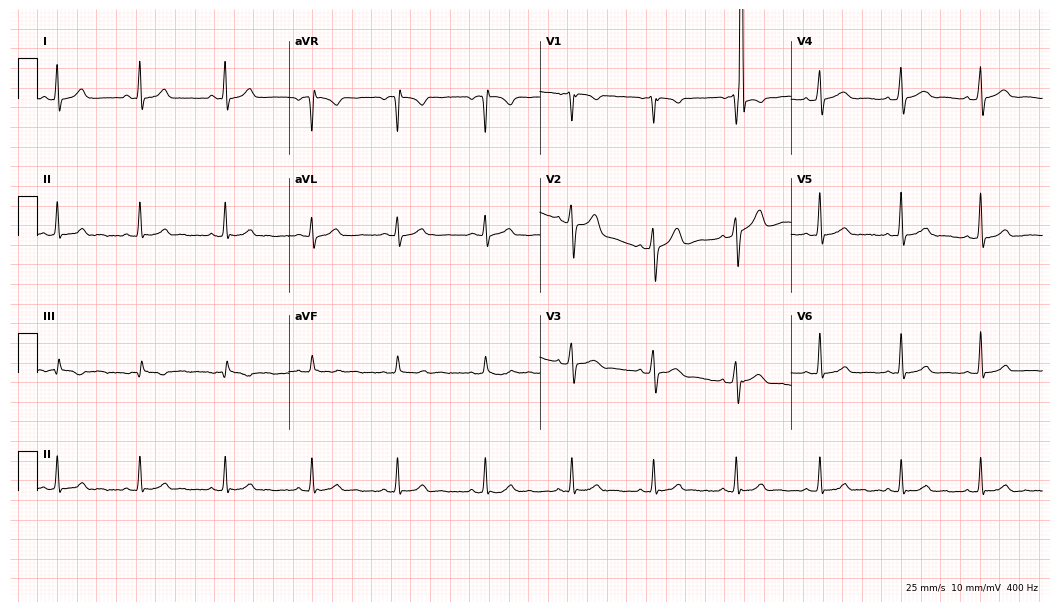
Standard 12-lead ECG recorded from a 20-year-old male. Read as a normal ECG.